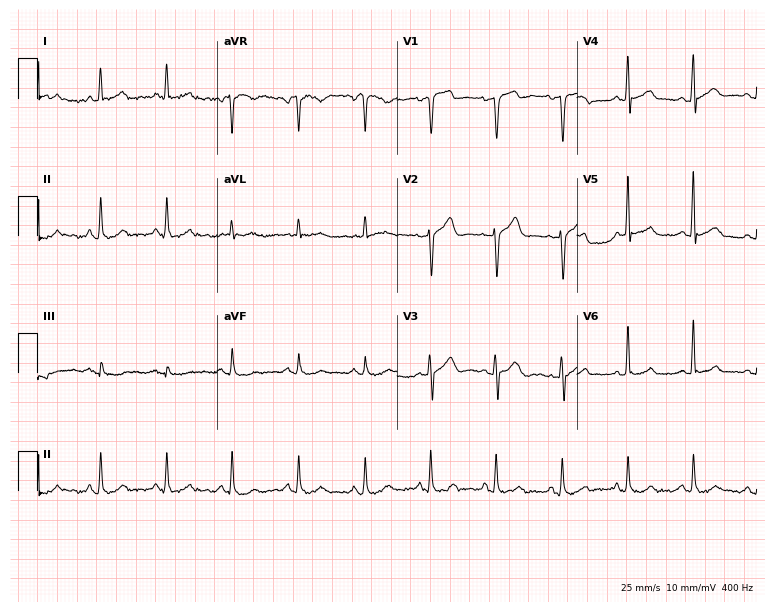
Standard 12-lead ECG recorded from a 73-year-old male patient. Read as a normal ECG.